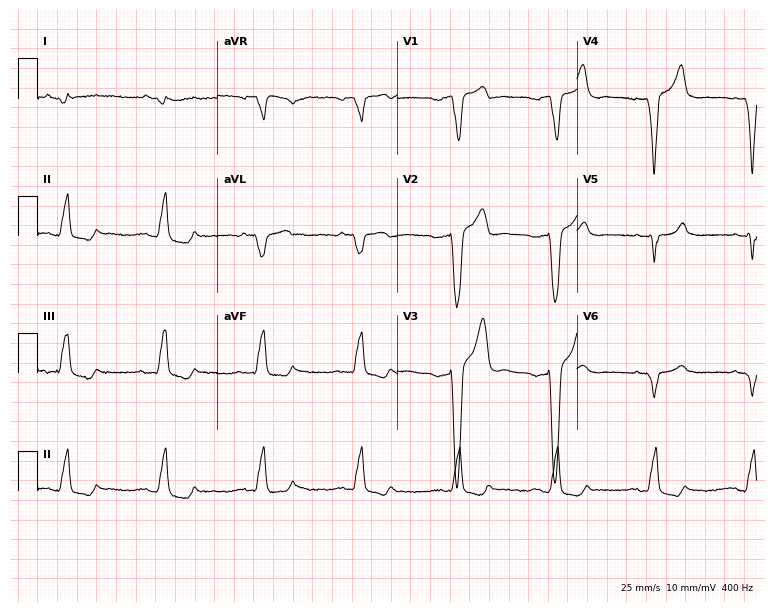
Electrocardiogram, a 76-year-old male. Of the six screened findings (first-degree AV block, right bundle branch block, left bundle branch block, sinus bradycardia, atrial fibrillation, sinus tachycardia), none is recorded. Other findings, if any, are not listed.